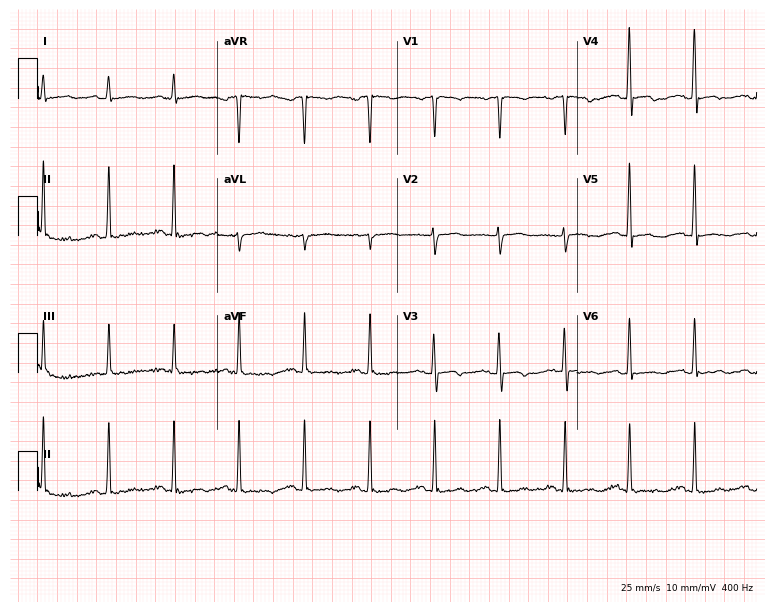
Electrocardiogram, a woman, 55 years old. Of the six screened findings (first-degree AV block, right bundle branch block, left bundle branch block, sinus bradycardia, atrial fibrillation, sinus tachycardia), none is recorded. Other findings, if any, are not listed.